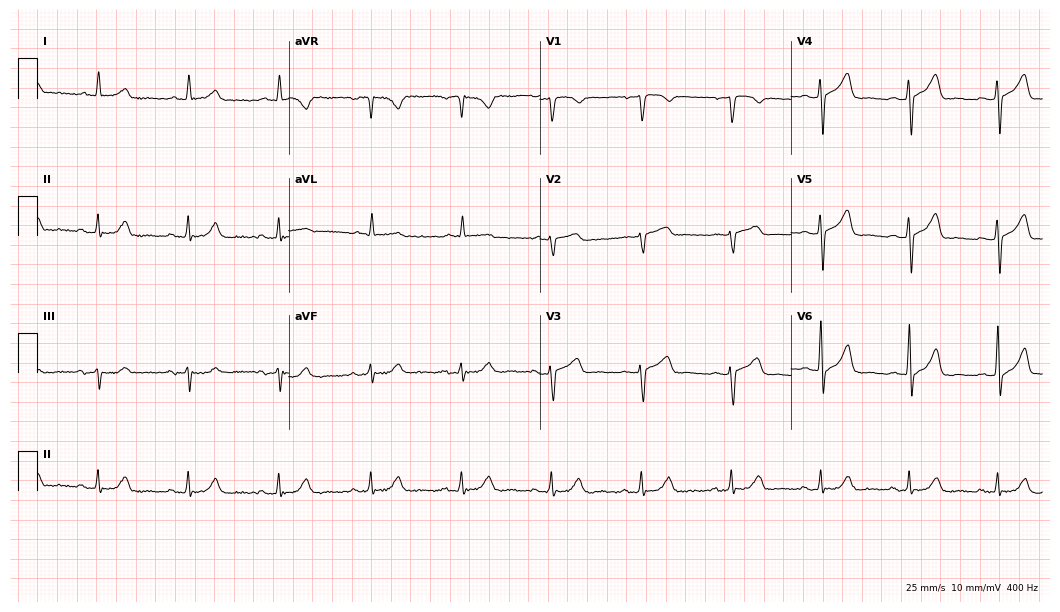
Resting 12-lead electrocardiogram (10.2-second recording at 400 Hz). Patient: a male, 79 years old. None of these six findings is recorded: first-degree AV block, right bundle branch block (RBBB), left bundle branch block (LBBB), sinus bradycardia, atrial fibrillation (AF), sinus tachycardia. Other findings, if any, are not listed.